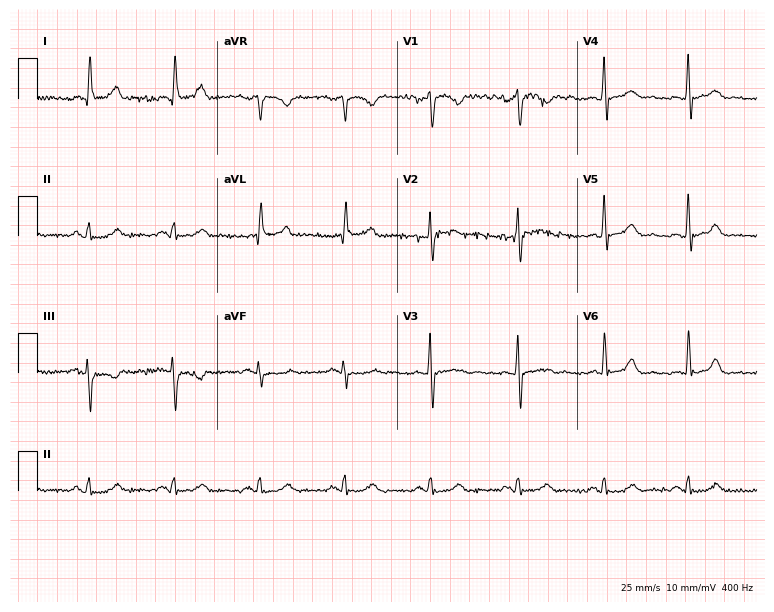
12-lead ECG from a male, 60 years old. Labelled as a normal ECG.